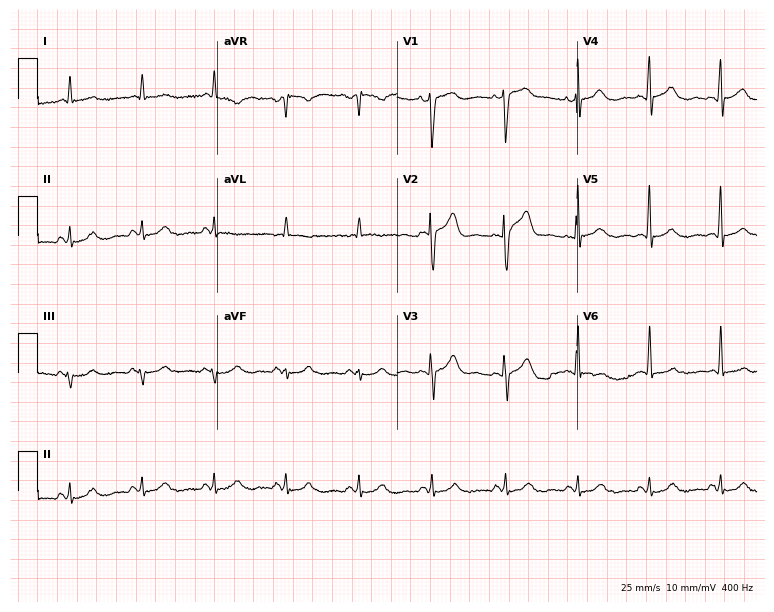
Electrocardiogram, a male, 64 years old. Overall reading on record: normal ECG.